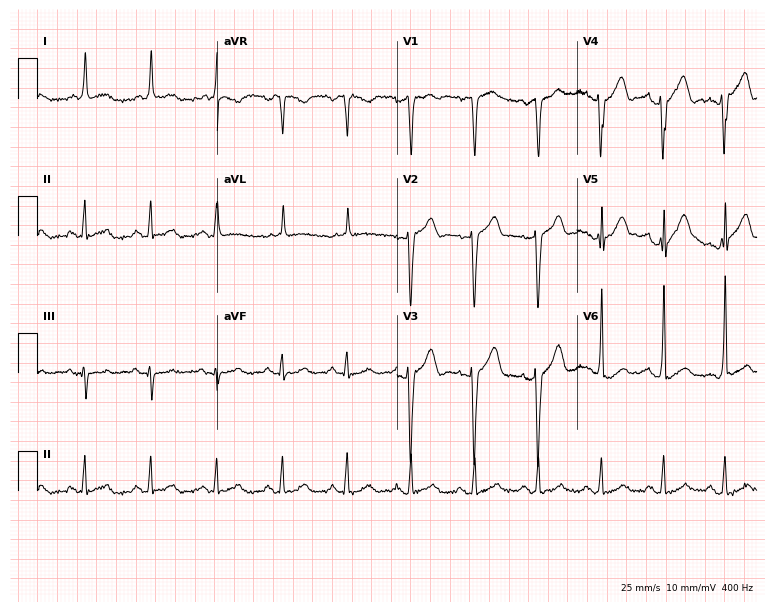
12-lead ECG (7.3-second recording at 400 Hz) from a man, 80 years old. Screened for six findings — first-degree AV block, right bundle branch block (RBBB), left bundle branch block (LBBB), sinus bradycardia, atrial fibrillation (AF), sinus tachycardia — none is recorded. Only these six findings were labelled.